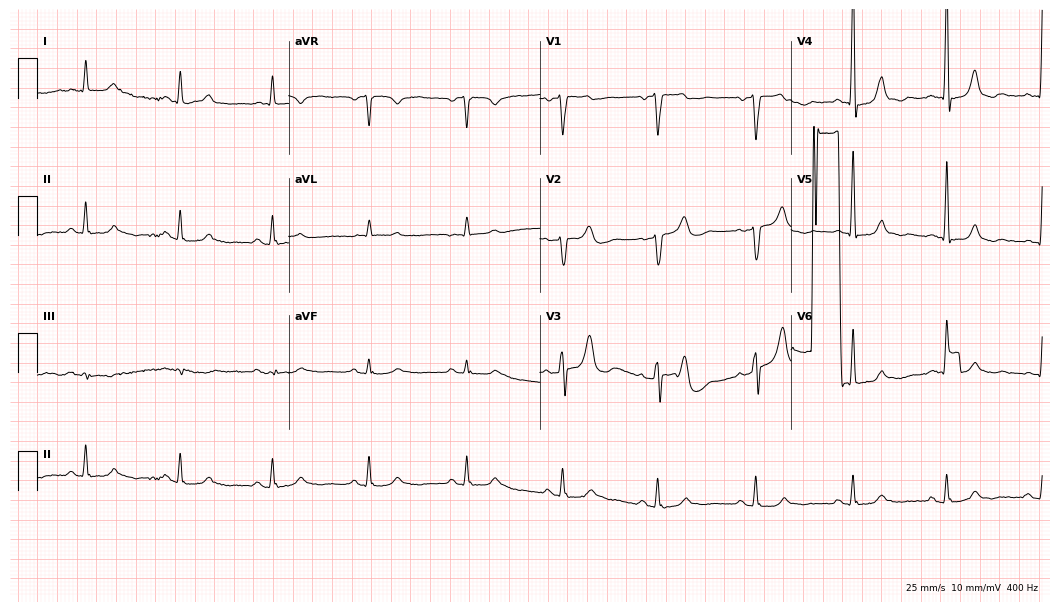
12-lead ECG from a male, 76 years old (10.2-second recording at 400 Hz). No first-degree AV block, right bundle branch block, left bundle branch block, sinus bradycardia, atrial fibrillation or sinus tachycardia recorded for this tracing. Only these six findings were labelled.